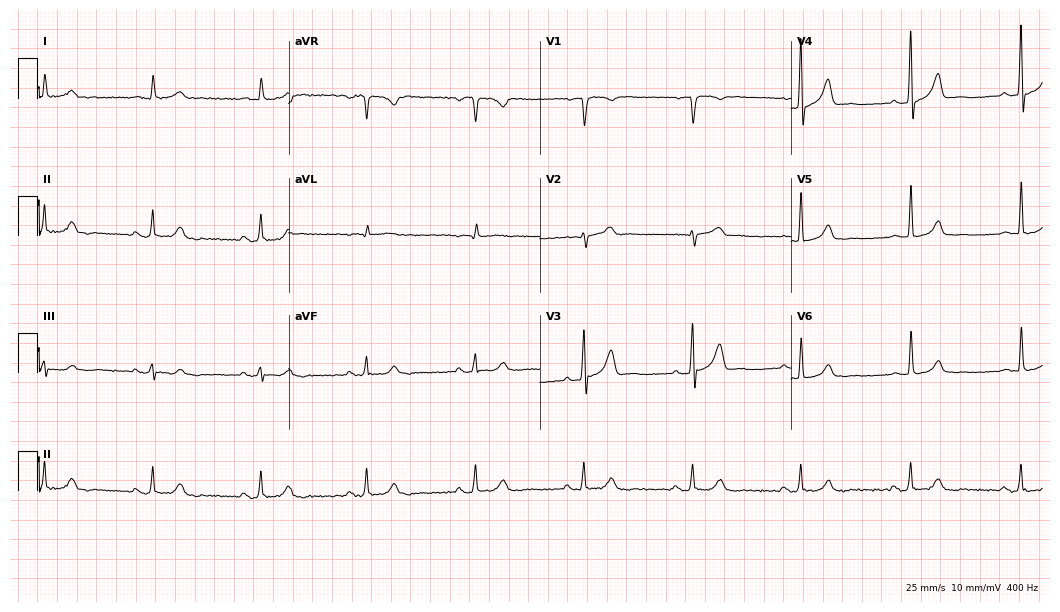
Standard 12-lead ECG recorded from a 69-year-old man (10.2-second recording at 400 Hz). None of these six findings is recorded: first-degree AV block, right bundle branch block, left bundle branch block, sinus bradycardia, atrial fibrillation, sinus tachycardia.